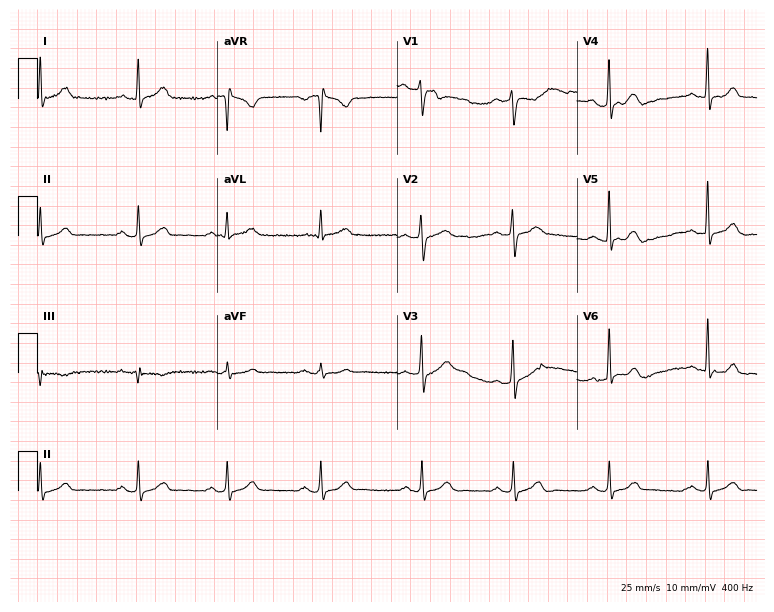
Electrocardiogram, a male, 27 years old. Overall reading on record: normal ECG.